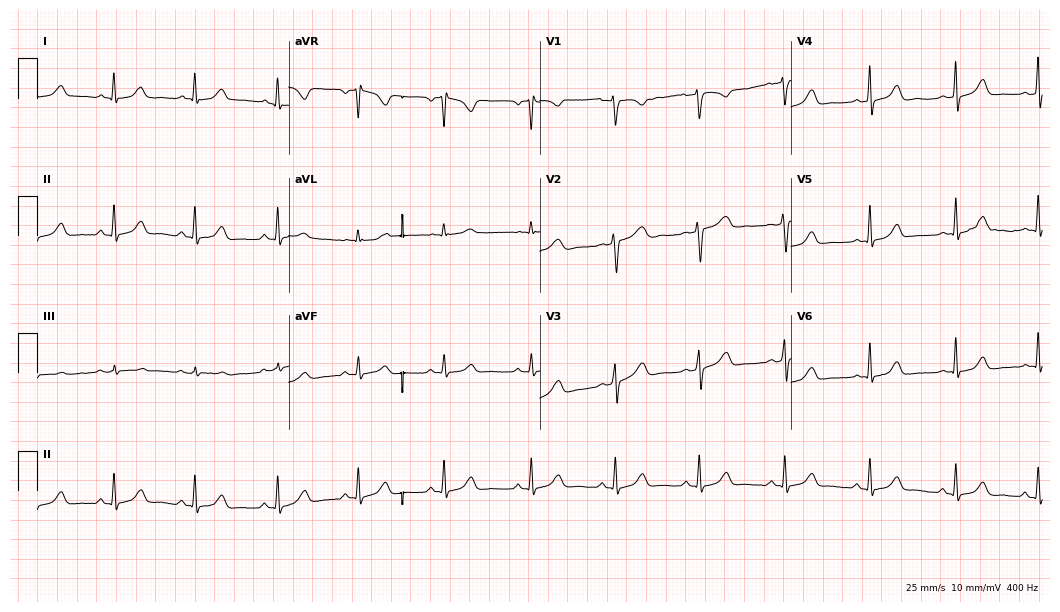
12-lead ECG from a female patient, 38 years old (10.2-second recording at 400 Hz). No first-degree AV block, right bundle branch block, left bundle branch block, sinus bradycardia, atrial fibrillation or sinus tachycardia recorded for this tracing. Findings outside these six are not listed.